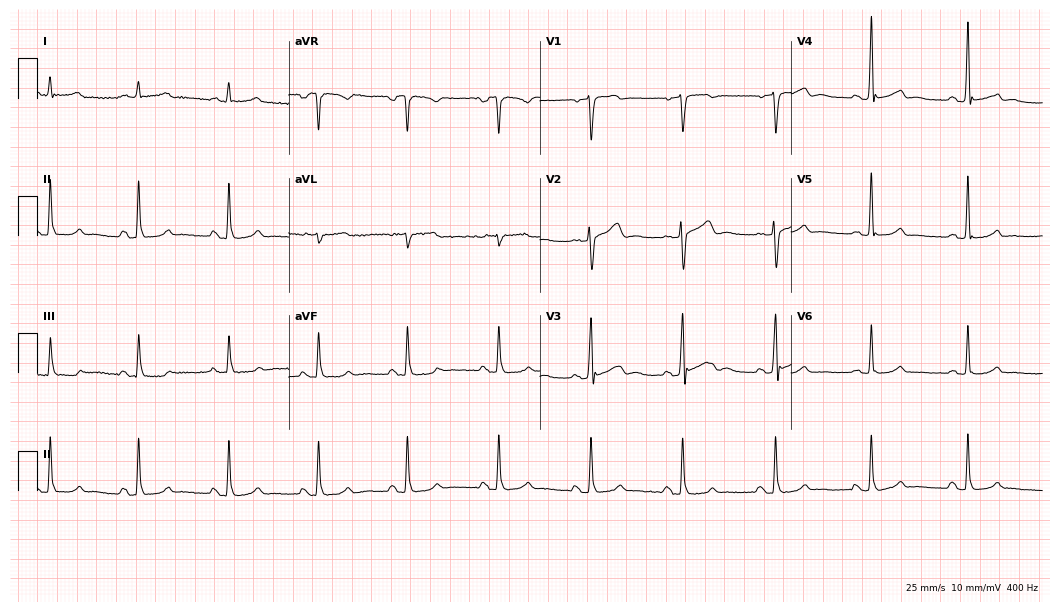
ECG (10.2-second recording at 400 Hz) — a male patient, 63 years old. Labelled as a normal ECG.